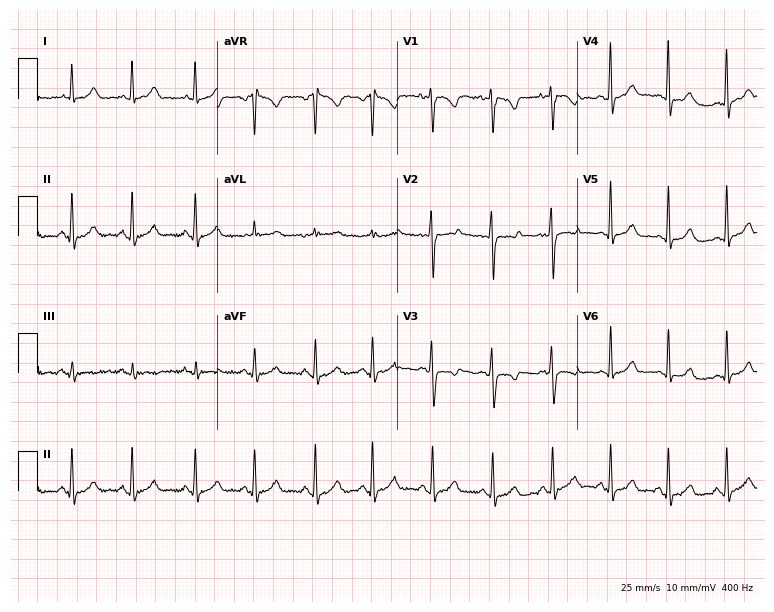
Electrocardiogram, a woman, 27 years old. Overall reading on record: normal ECG.